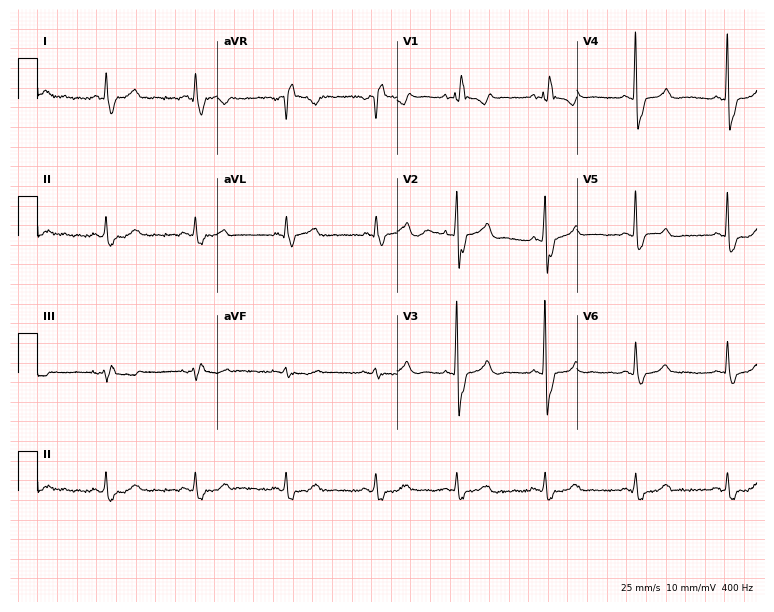
12-lead ECG (7.3-second recording at 400 Hz) from a 53-year-old female. Findings include right bundle branch block.